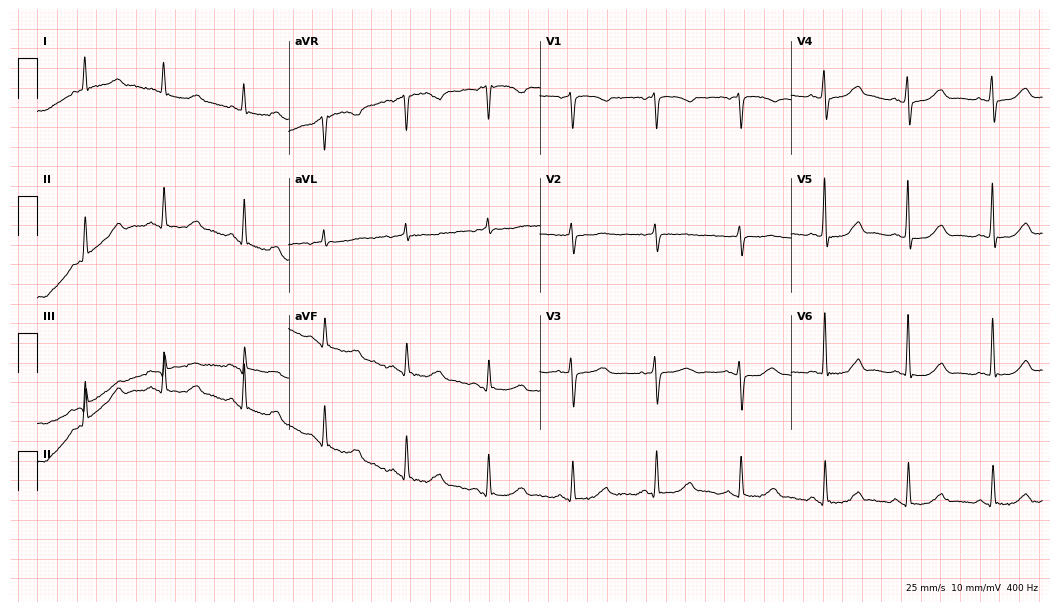
12-lead ECG from a 74-year-old female (10.2-second recording at 400 Hz). No first-degree AV block, right bundle branch block, left bundle branch block, sinus bradycardia, atrial fibrillation or sinus tachycardia recorded for this tracing. Only these six findings were labelled.